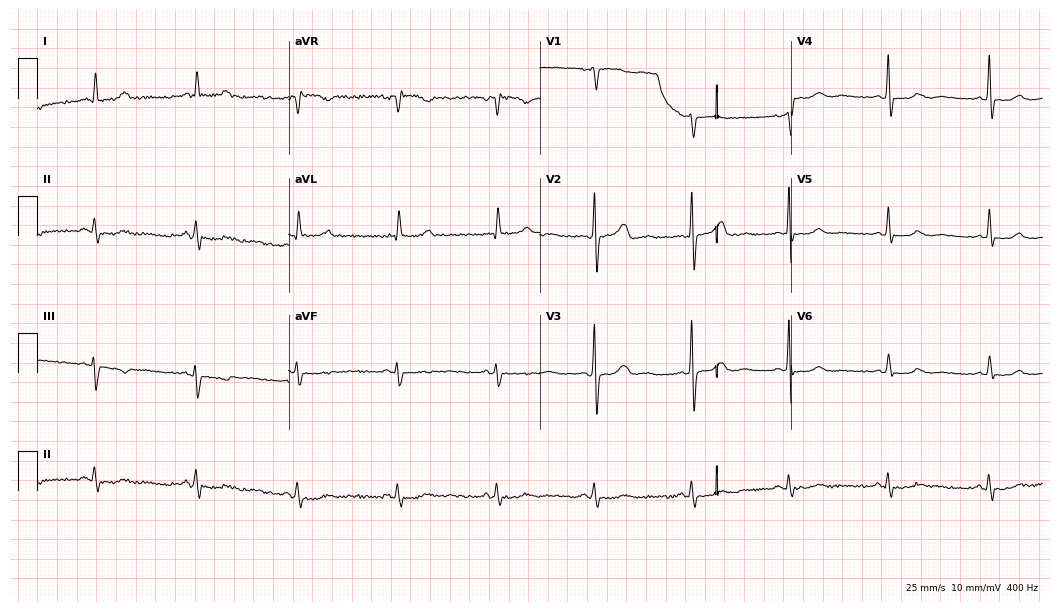
Resting 12-lead electrocardiogram. Patient: a female, 80 years old. None of these six findings is recorded: first-degree AV block, right bundle branch block, left bundle branch block, sinus bradycardia, atrial fibrillation, sinus tachycardia.